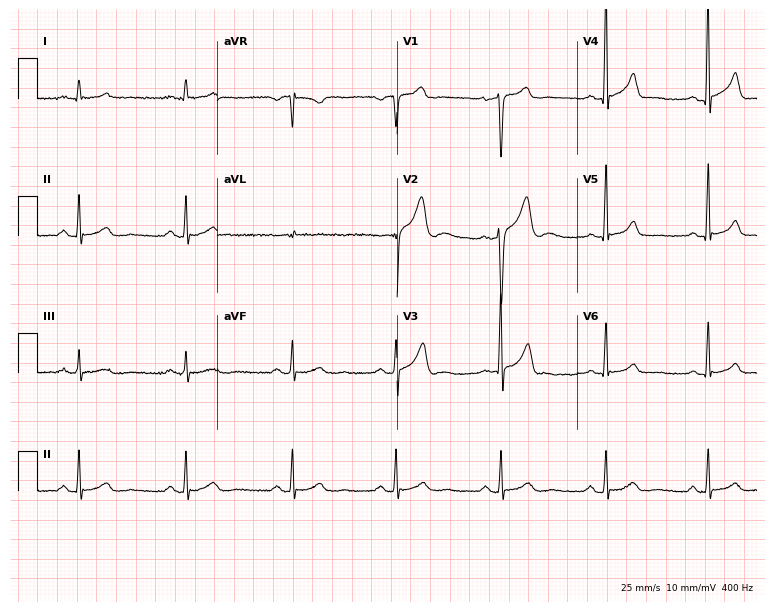
Electrocardiogram (7.3-second recording at 400 Hz), a 48-year-old male patient. Of the six screened findings (first-degree AV block, right bundle branch block (RBBB), left bundle branch block (LBBB), sinus bradycardia, atrial fibrillation (AF), sinus tachycardia), none is recorded.